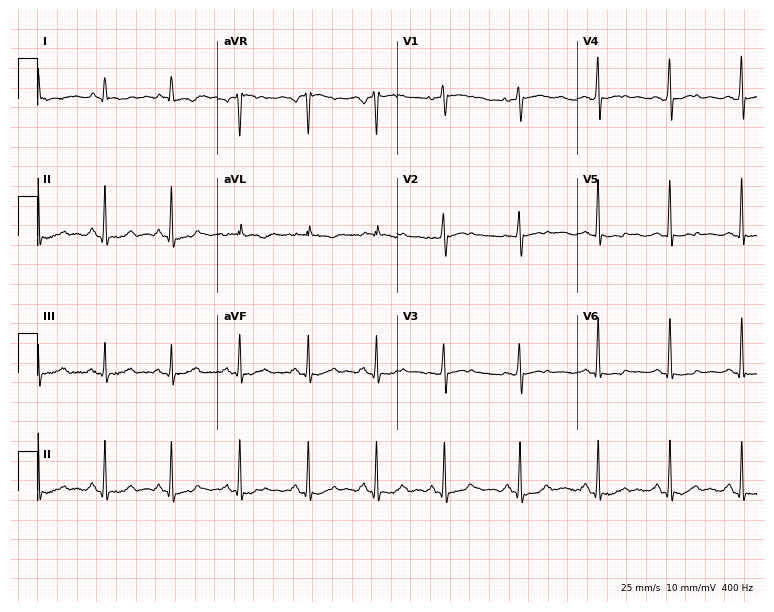
Resting 12-lead electrocardiogram. Patient: a female, 71 years old. None of these six findings is recorded: first-degree AV block, right bundle branch block (RBBB), left bundle branch block (LBBB), sinus bradycardia, atrial fibrillation (AF), sinus tachycardia.